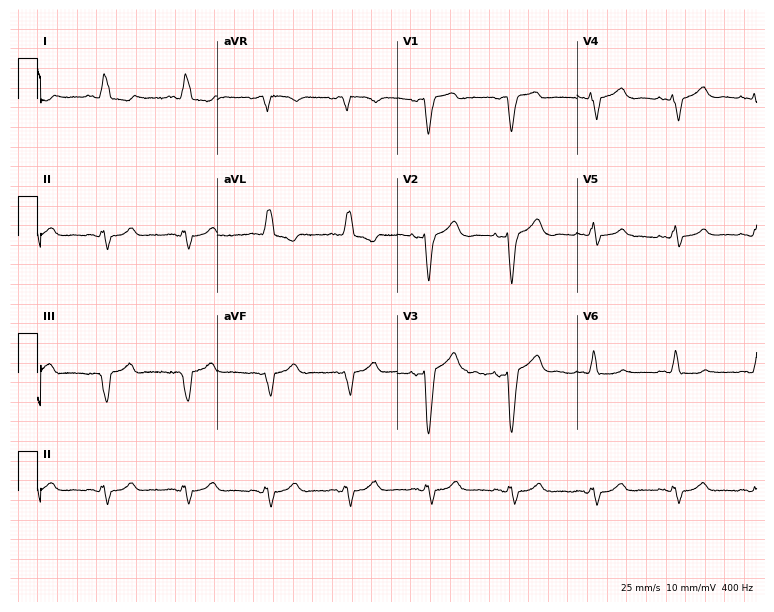
Standard 12-lead ECG recorded from a female patient, 85 years old. The tracing shows left bundle branch block.